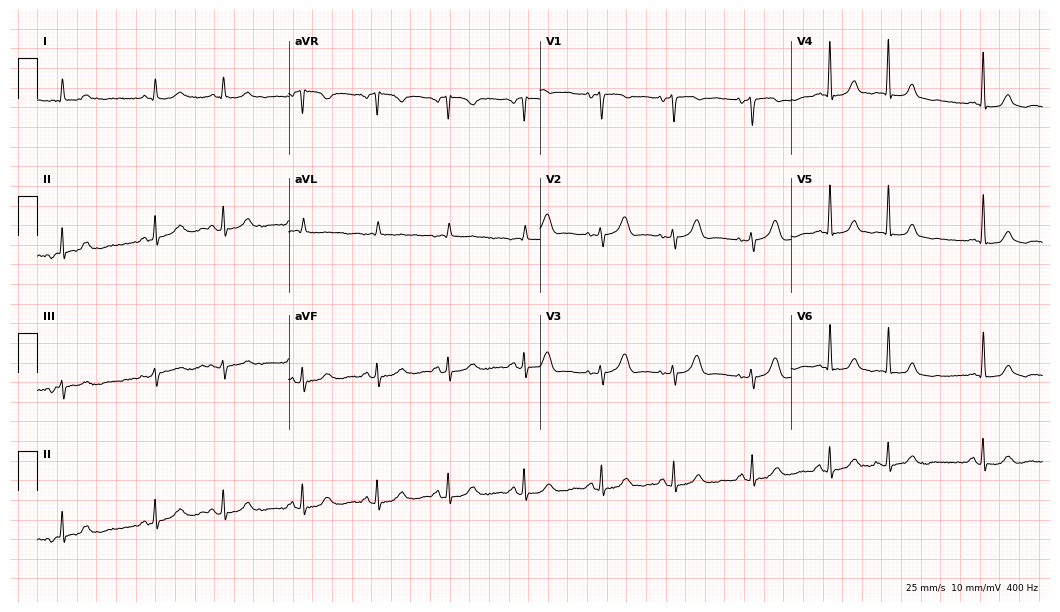
ECG (10.2-second recording at 400 Hz) — a female, 78 years old. Screened for six findings — first-degree AV block, right bundle branch block (RBBB), left bundle branch block (LBBB), sinus bradycardia, atrial fibrillation (AF), sinus tachycardia — none is recorded. Only these six findings were labelled.